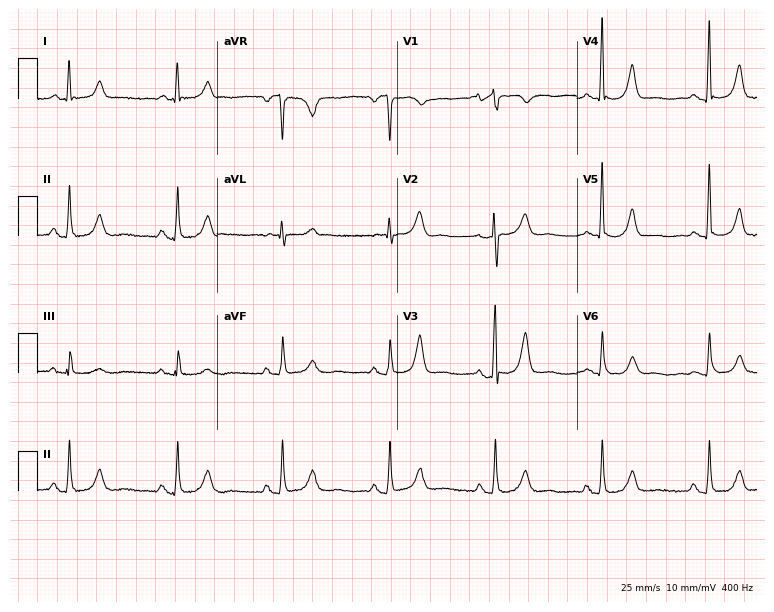
12-lead ECG from a female patient, 79 years old. No first-degree AV block, right bundle branch block, left bundle branch block, sinus bradycardia, atrial fibrillation or sinus tachycardia recorded for this tracing.